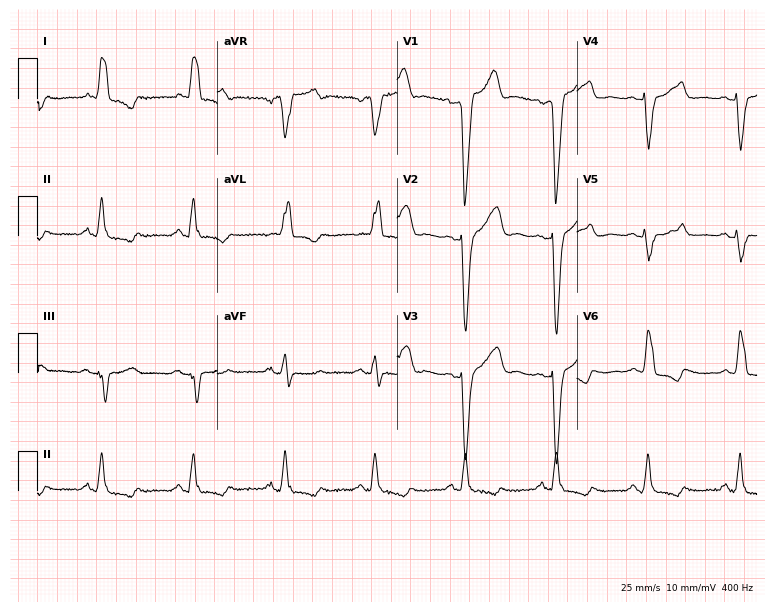
ECG — a 74-year-old man. Findings include left bundle branch block (LBBB).